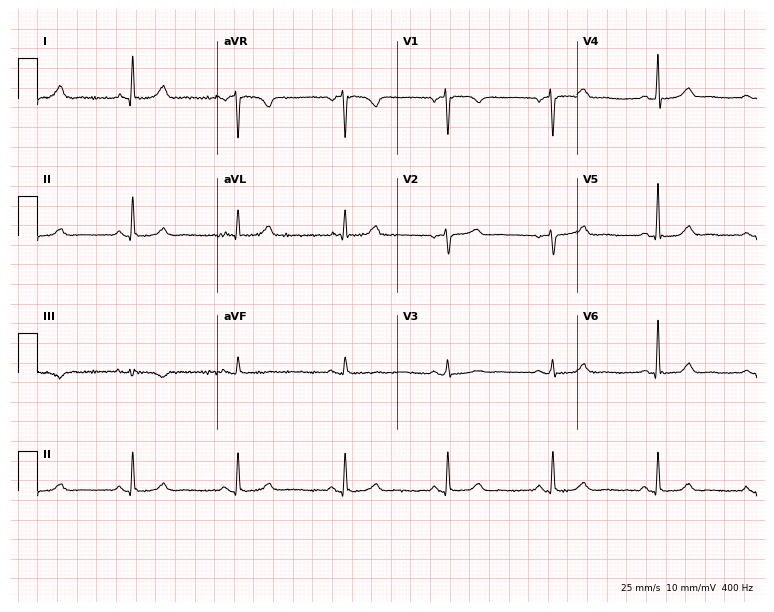
Resting 12-lead electrocardiogram (7.3-second recording at 400 Hz). Patient: a 59-year-old woman. None of these six findings is recorded: first-degree AV block, right bundle branch block (RBBB), left bundle branch block (LBBB), sinus bradycardia, atrial fibrillation (AF), sinus tachycardia.